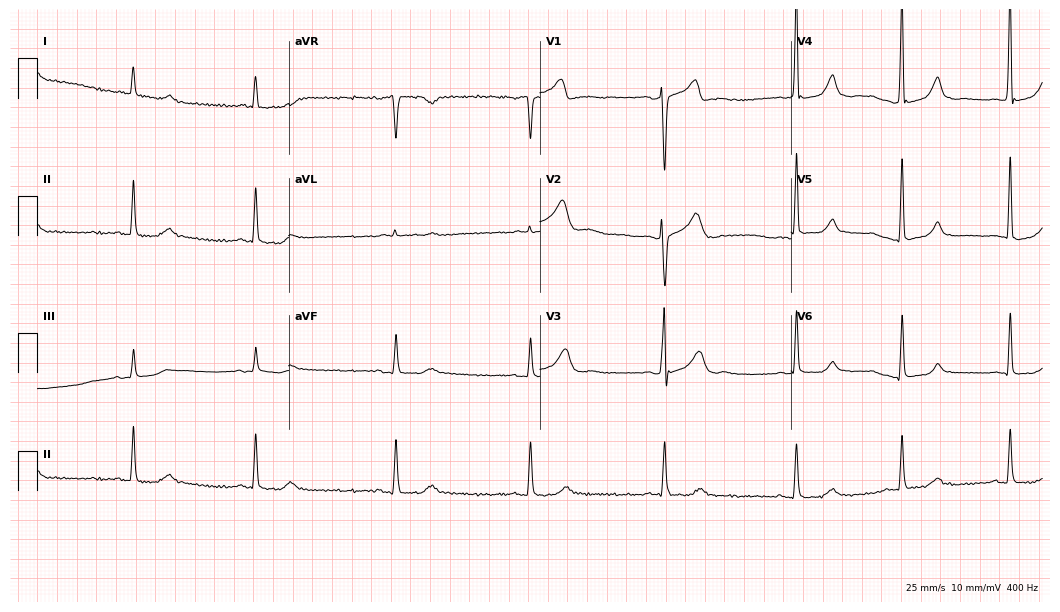
12-lead ECG from a 72-year-old man (10.2-second recording at 400 Hz). Shows sinus bradycardia (a sinus rate of 50 beats per minute or less).